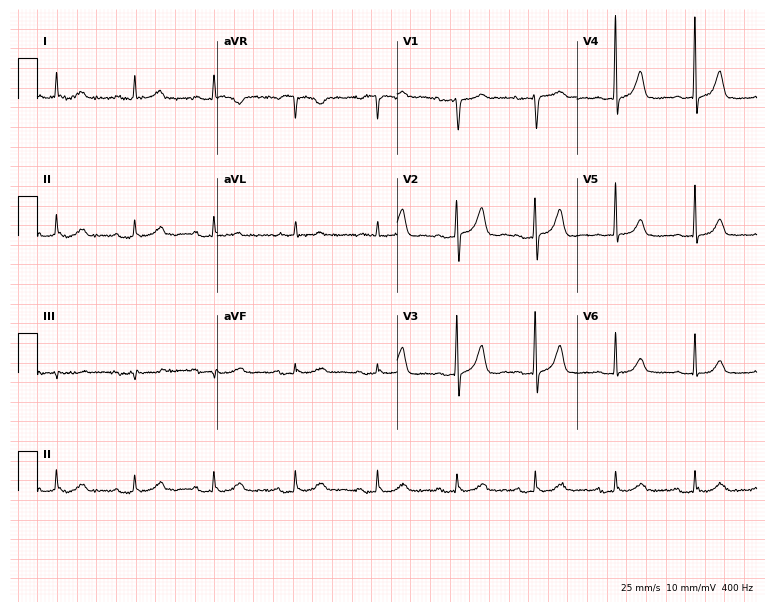
Standard 12-lead ECG recorded from a woman, 84 years old. Read as a normal ECG.